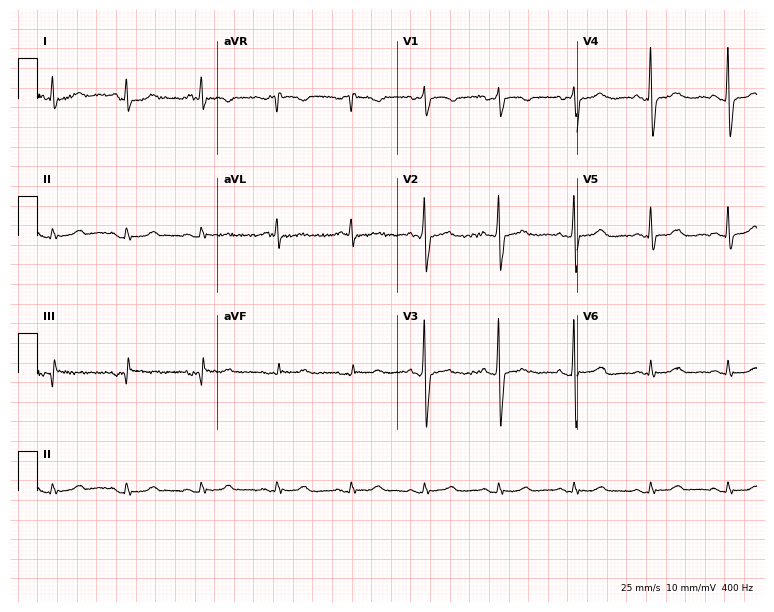
Resting 12-lead electrocardiogram. Patient: a woman, 80 years old. None of these six findings is recorded: first-degree AV block, right bundle branch block, left bundle branch block, sinus bradycardia, atrial fibrillation, sinus tachycardia.